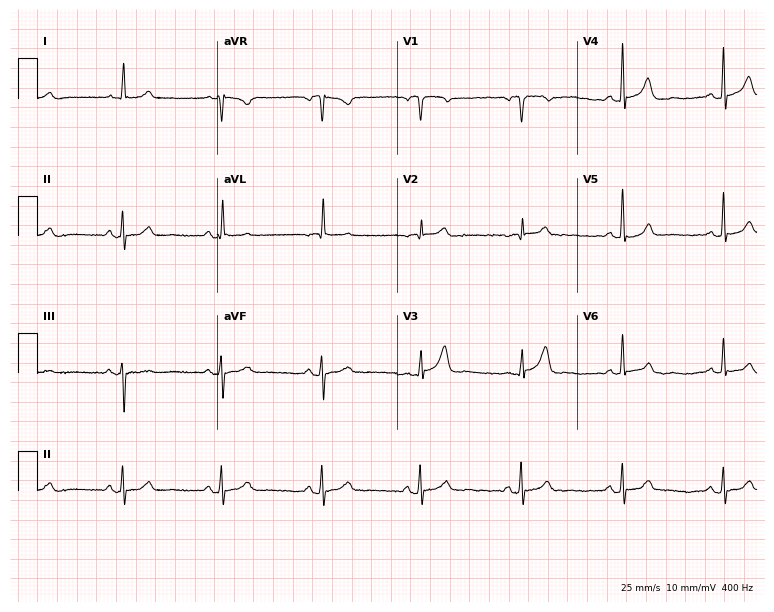
ECG — a 79-year-old female patient. Labelled as a normal ECG.